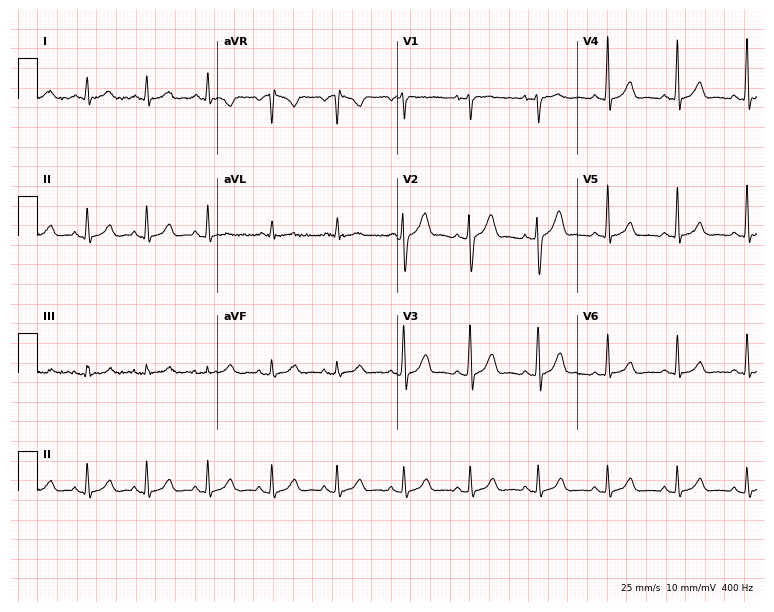
Electrocardiogram, a 38-year-old man. Overall reading on record: normal ECG.